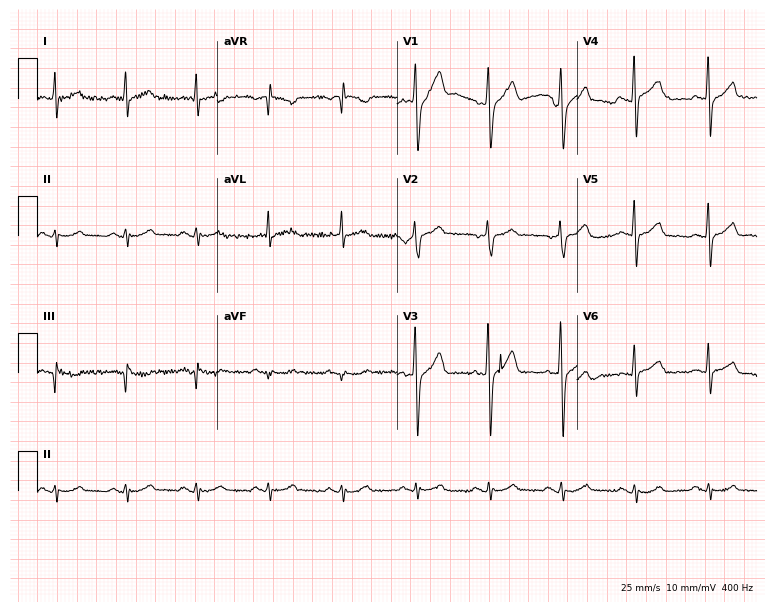
Electrocardiogram, a 57-year-old male. Of the six screened findings (first-degree AV block, right bundle branch block, left bundle branch block, sinus bradycardia, atrial fibrillation, sinus tachycardia), none is recorded.